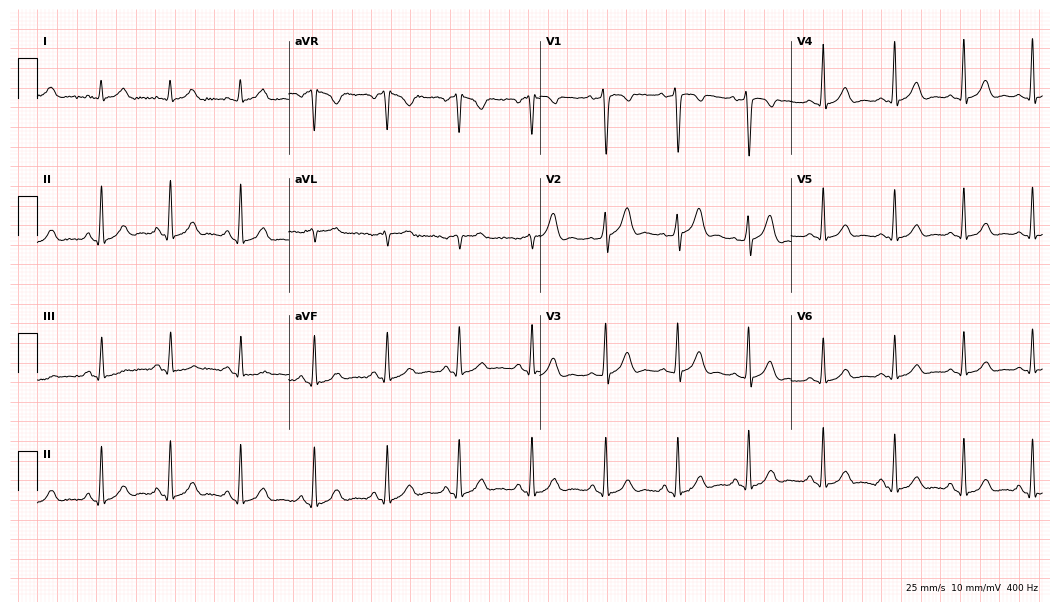
Resting 12-lead electrocardiogram (10.2-second recording at 400 Hz). Patient: a 32-year-old male. None of these six findings is recorded: first-degree AV block, right bundle branch block, left bundle branch block, sinus bradycardia, atrial fibrillation, sinus tachycardia. Only these six findings were labelled.